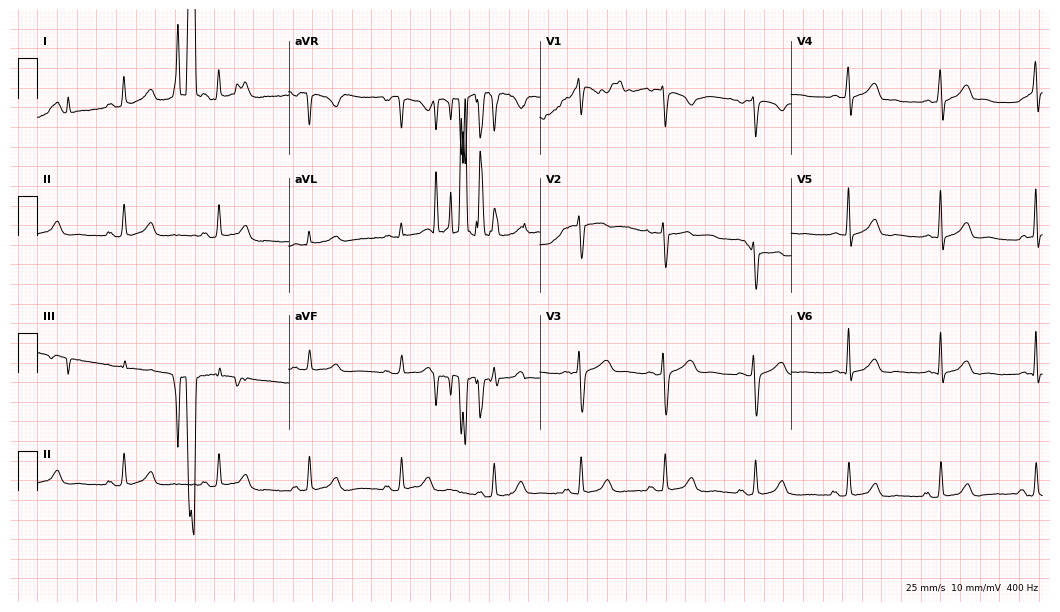
Standard 12-lead ECG recorded from a female patient, 52 years old (10.2-second recording at 400 Hz). None of these six findings is recorded: first-degree AV block, right bundle branch block, left bundle branch block, sinus bradycardia, atrial fibrillation, sinus tachycardia.